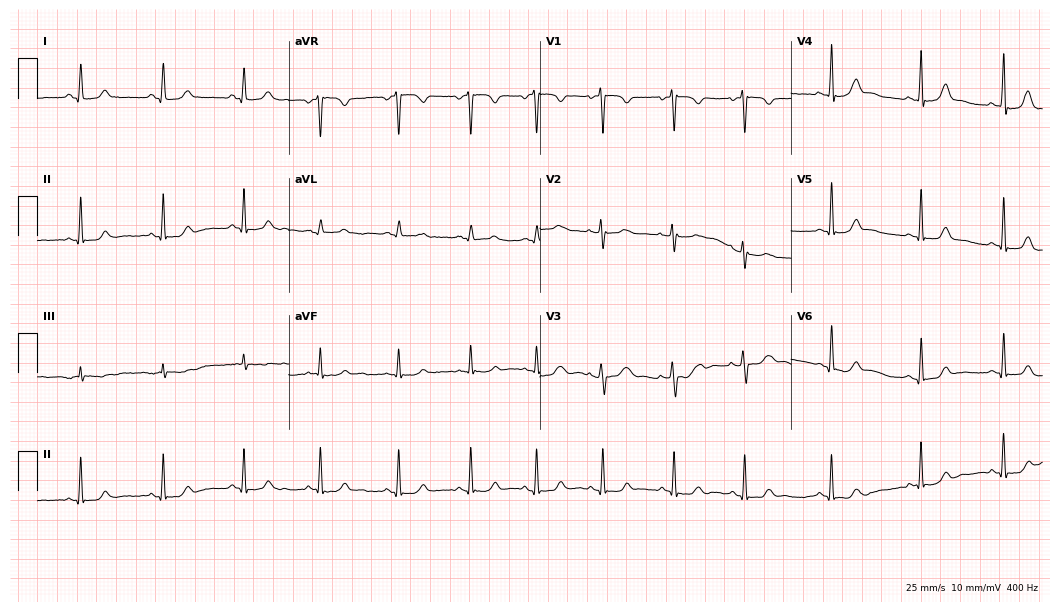
Resting 12-lead electrocardiogram (10.2-second recording at 400 Hz). Patient: a female, 21 years old. Read as a normal ECG.